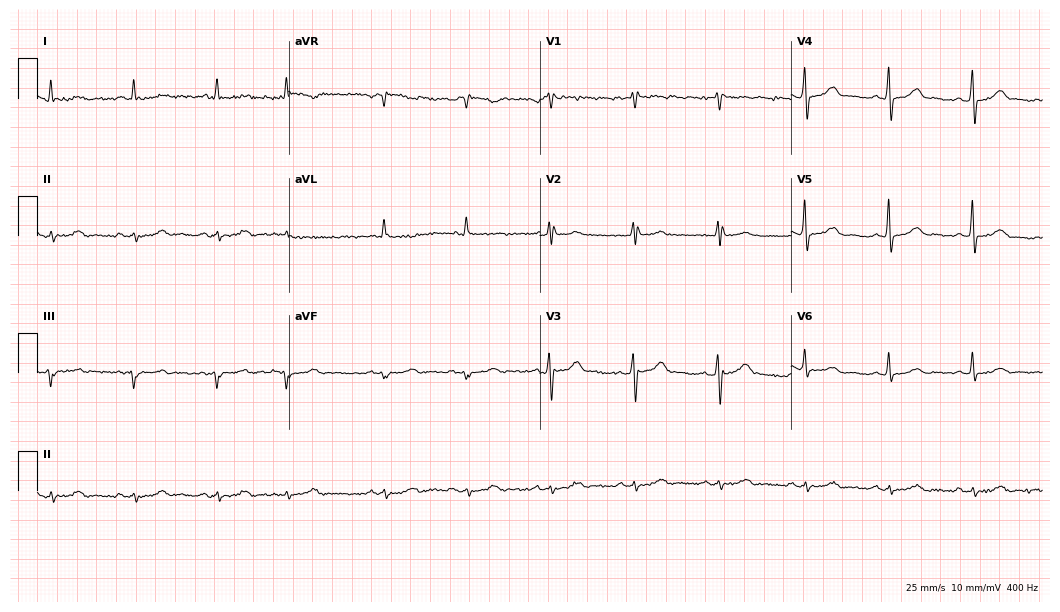
Electrocardiogram (10.2-second recording at 400 Hz), a male, 76 years old. Overall reading on record: normal ECG.